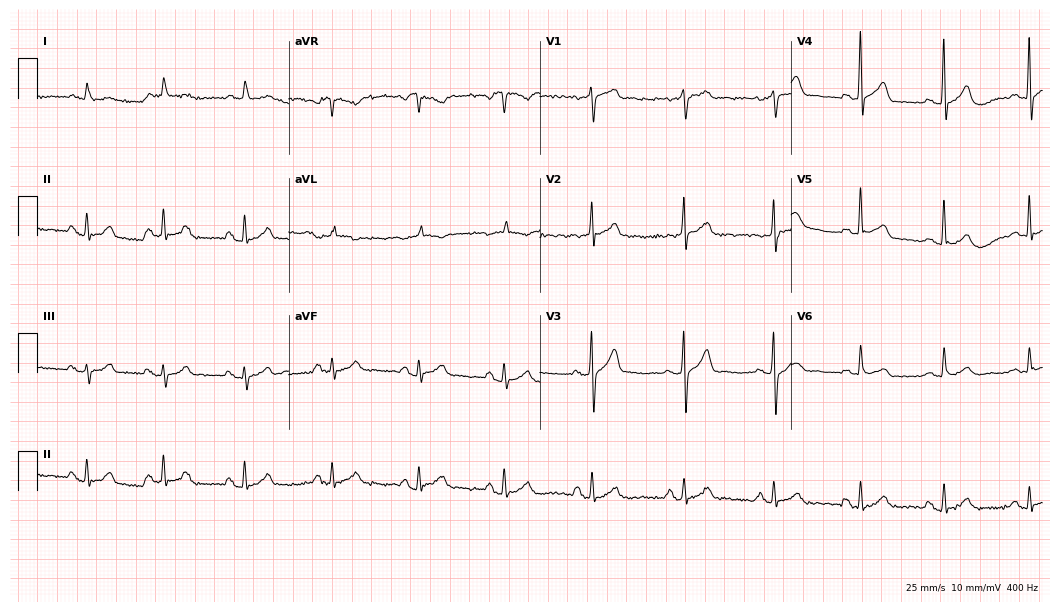
Resting 12-lead electrocardiogram (10.2-second recording at 400 Hz). Patient: an 81-year-old male. None of these six findings is recorded: first-degree AV block, right bundle branch block, left bundle branch block, sinus bradycardia, atrial fibrillation, sinus tachycardia. Only these six findings were labelled.